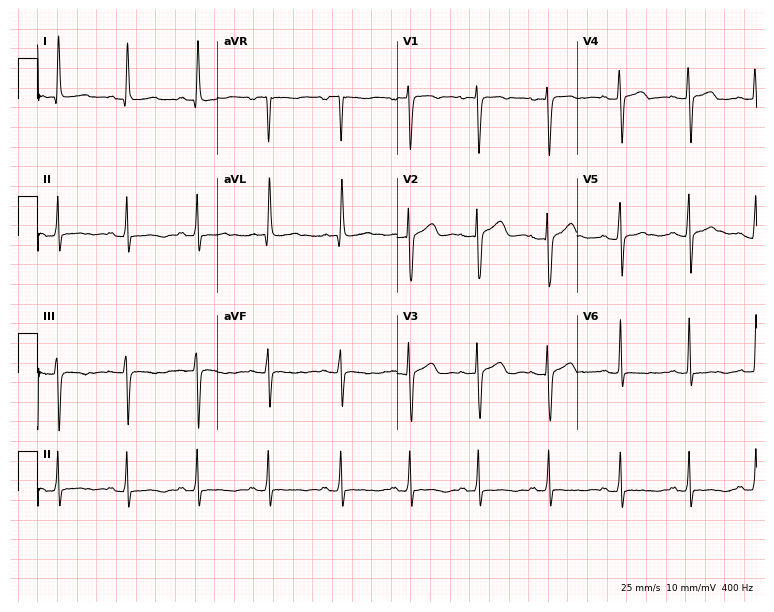
Electrocardiogram, a 27-year-old female. Of the six screened findings (first-degree AV block, right bundle branch block, left bundle branch block, sinus bradycardia, atrial fibrillation, sinus tachycardia), none is recorded.